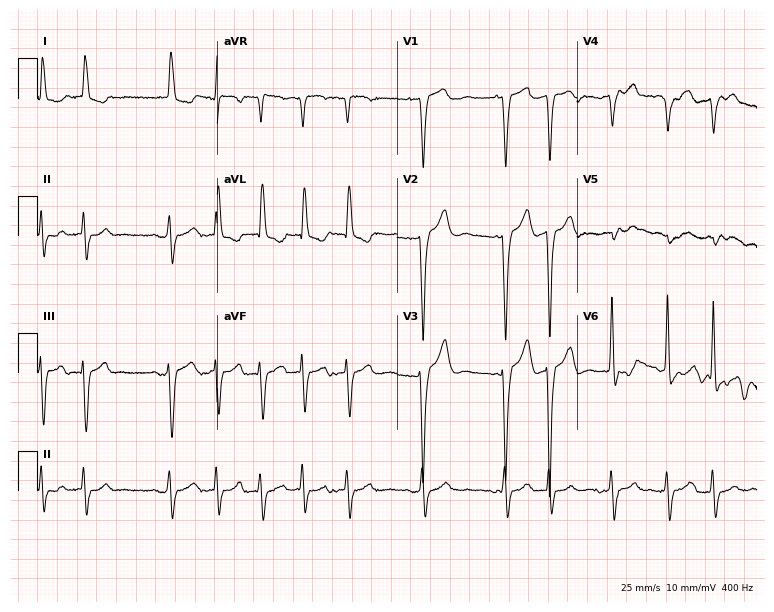
Standard 12-lead ECG recorded from a woman, 70 years old. None of these six findings is recorded: first-degree AV block, right bundle branch block, left bundle branch block, sinus bradycardia, atrial fibrillation, sinus tachycardia.